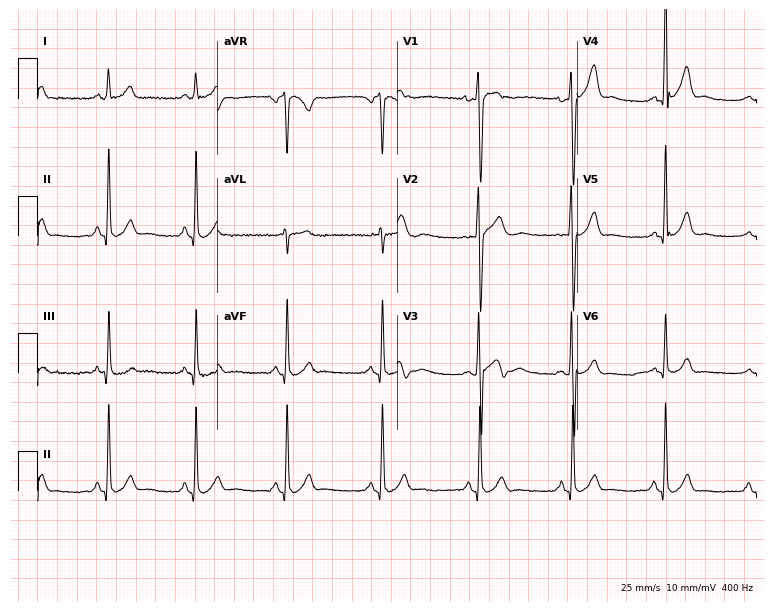
Electrocardiogram, a male patient, 20 years old. Of the six screened findings (first-degree AV block, right bundle branch block, left bundle branch block, sinus bradycardia, atrial fibrillation, sinus tachycardia), none is recorded. Other findings, if any, are not listed.